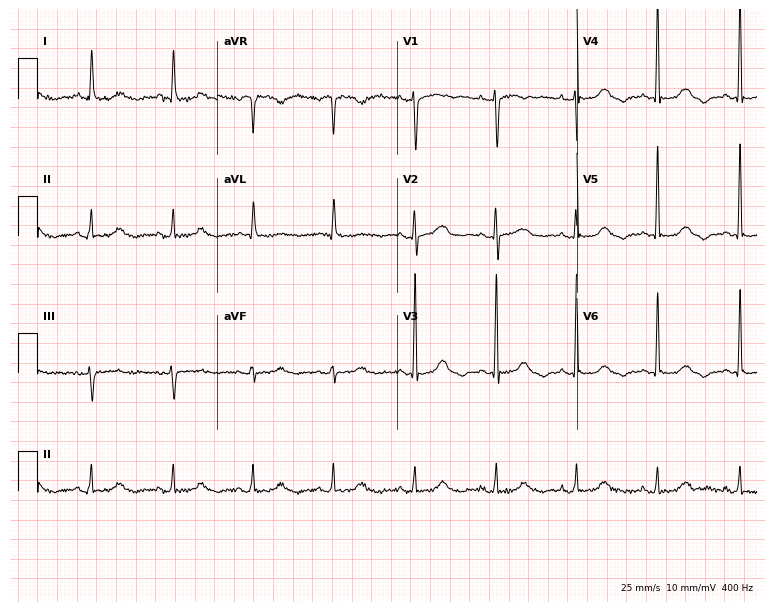
12-lead ECG (7.3-second recording at 400 Hz) from a female, 75 years old. Labelled as a normal ECG.